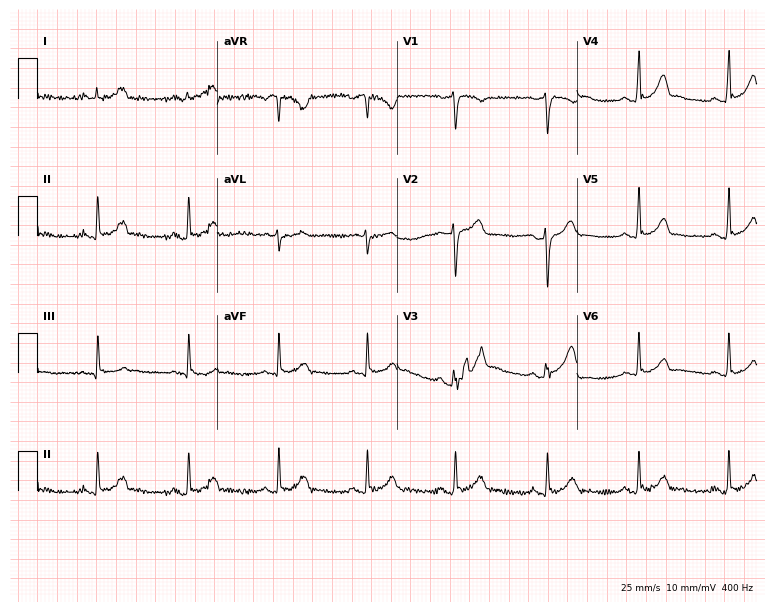
Resting 12-lead electrocardiogram (7.3-second recording at 400 Hz). Patient: a male, 31 years old. Read as a normal ECG.